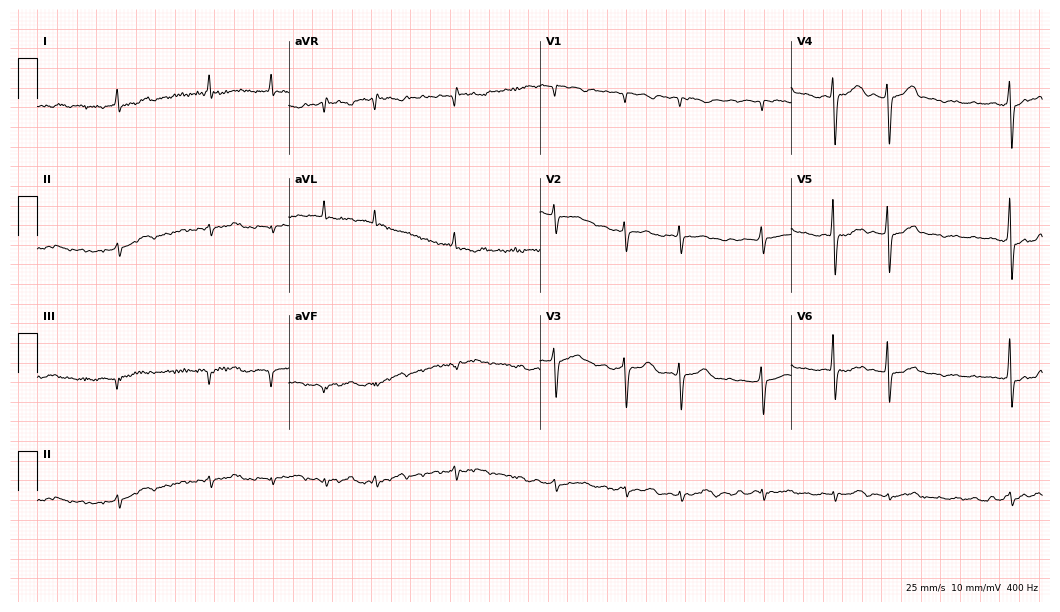
12-lead ECG from a 77-year-old male. Shows atrial fibrillation (AF).